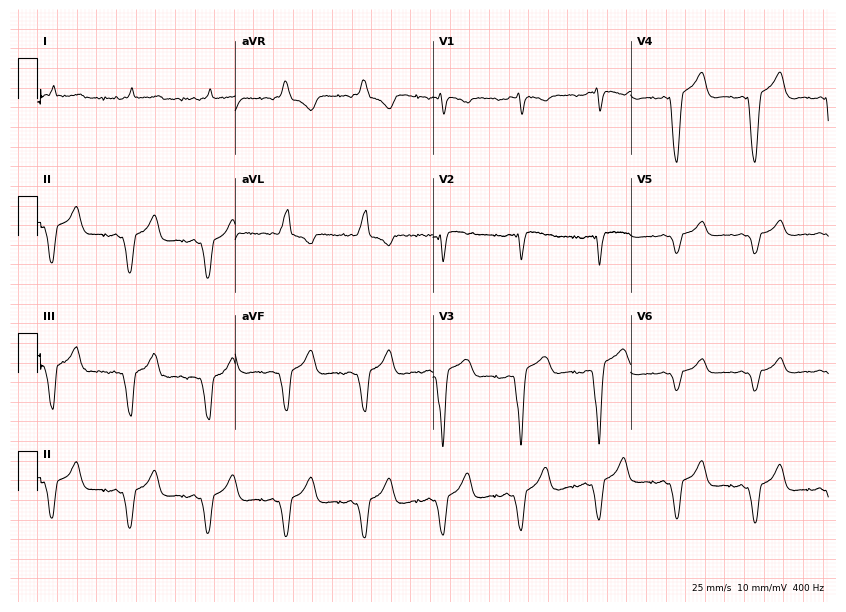
Resting 12-lead electrocardiogram (8.1-second recording at 400 Hz). Patient: a woman, 64 years old. None of these six findings is recorded: first-degree AV block, right bundle branch block, left bundle branch block, sinus bradycardia, atrial fibrillation, sinus tachycardia. Only these six findings were labelled.